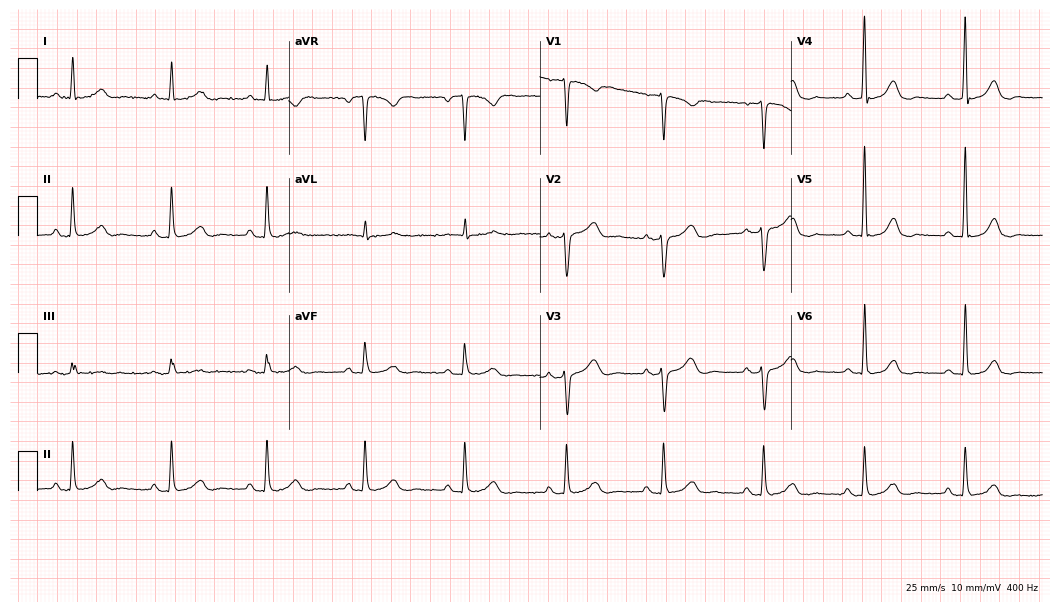
Resting 12-lead electrocardiogram. Patient: a 54-year-old female. None of these six findings is recorded: first-degree AV block, right bundle branch block, left bundle branch block, sinus bradycardia, atrial fibrillation, sinus tachycardia.